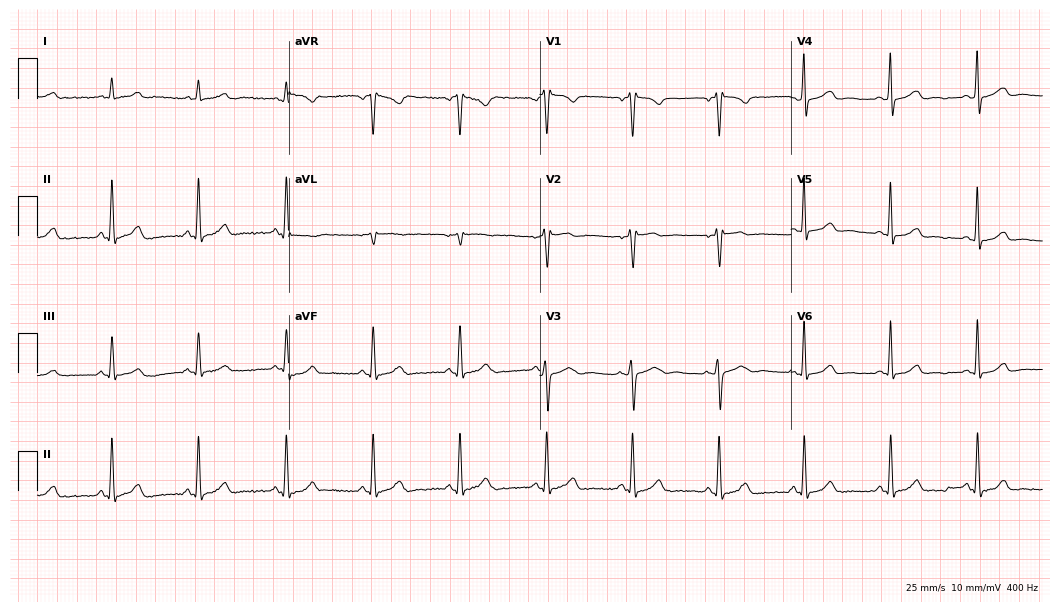
Electrocardiogram (10.2-second recording at 400 Hz), a 35-year-old woman. Overall reading on record: normal ECG.